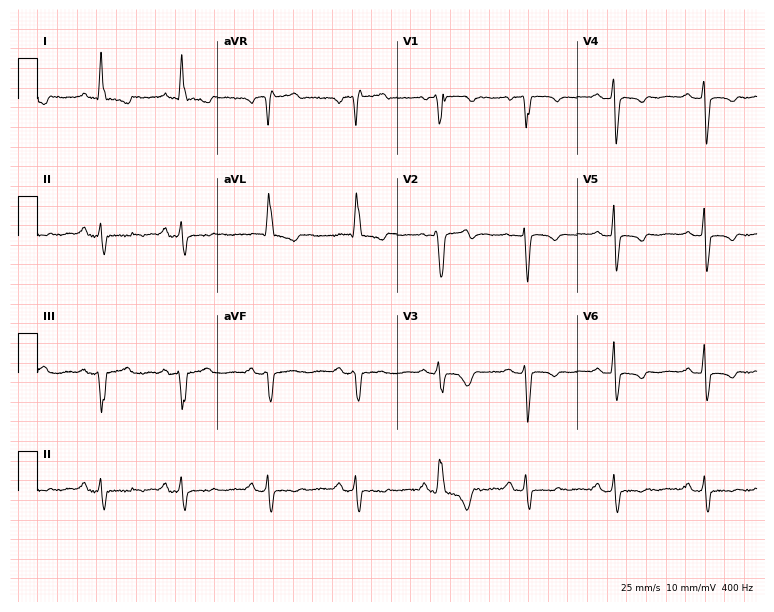
12-lead ECG from a 77-year-old female patient (7.3-second recording at 400 Hz). No first-degree AV block, right bundle branch block (RBBB), left bundle branch block (LBBB), sinus bradycardia, atrial fibrillation (AF) or sinus tachycardia recorded for this tracing.